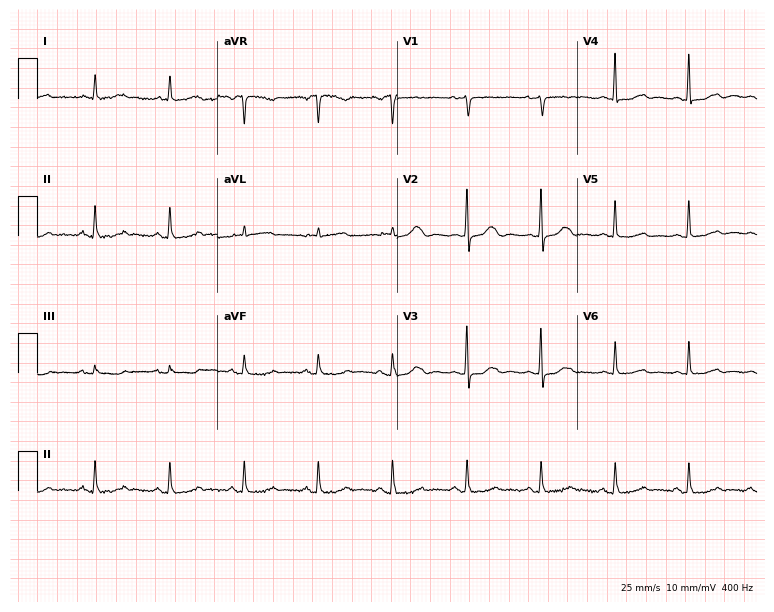
ECG — a female, 84 years old. Labelled as a normal ECG.